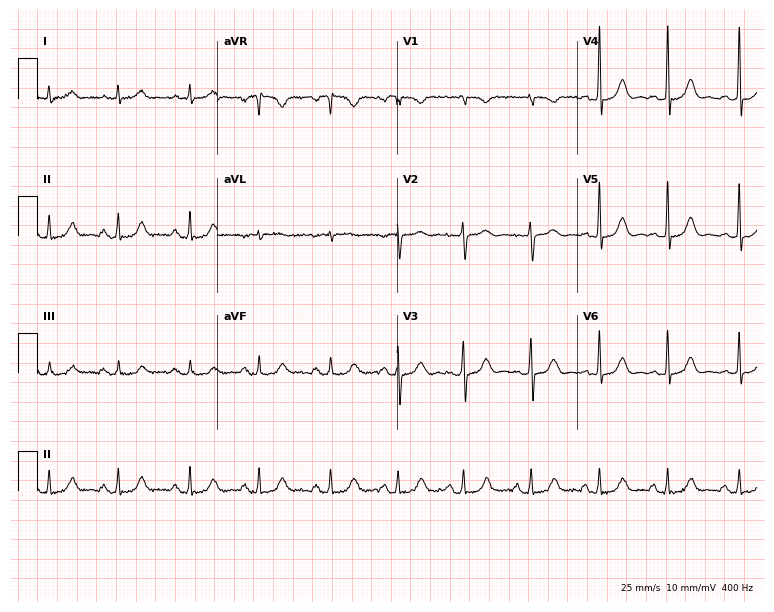
Resting 12-lead electrocardiogram. Patient: a 42-year-old woman. Read as a normal ECG.